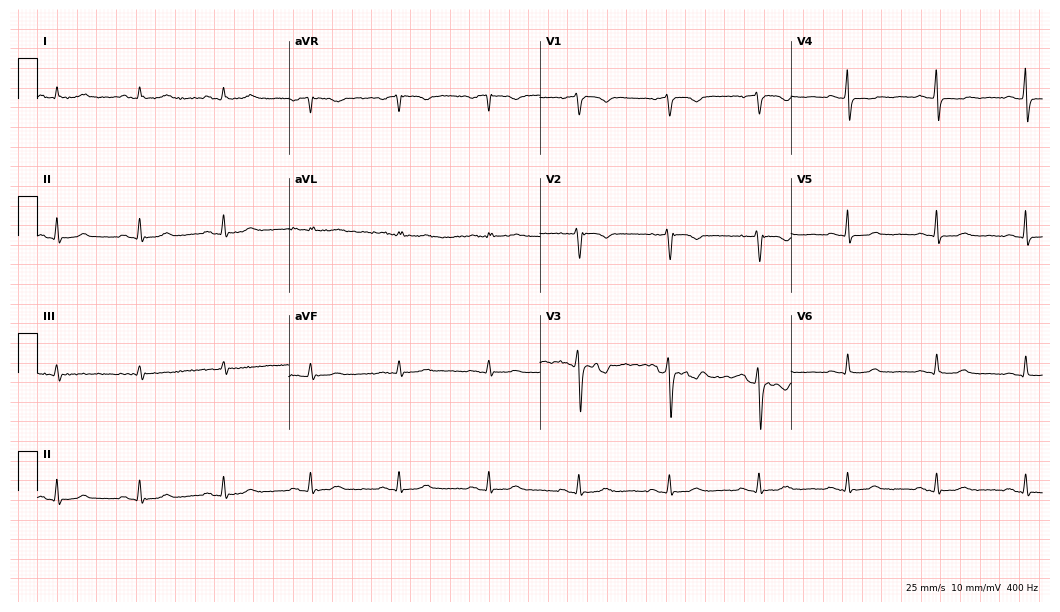
Electrocardiogram, a female, 53 years old. Of the six screened findings (first-degree AV block, right bundle branch block, left bundle branch block, sinus bradycardia, atrial fibrillation, sinus tachycardia), none is recorded.